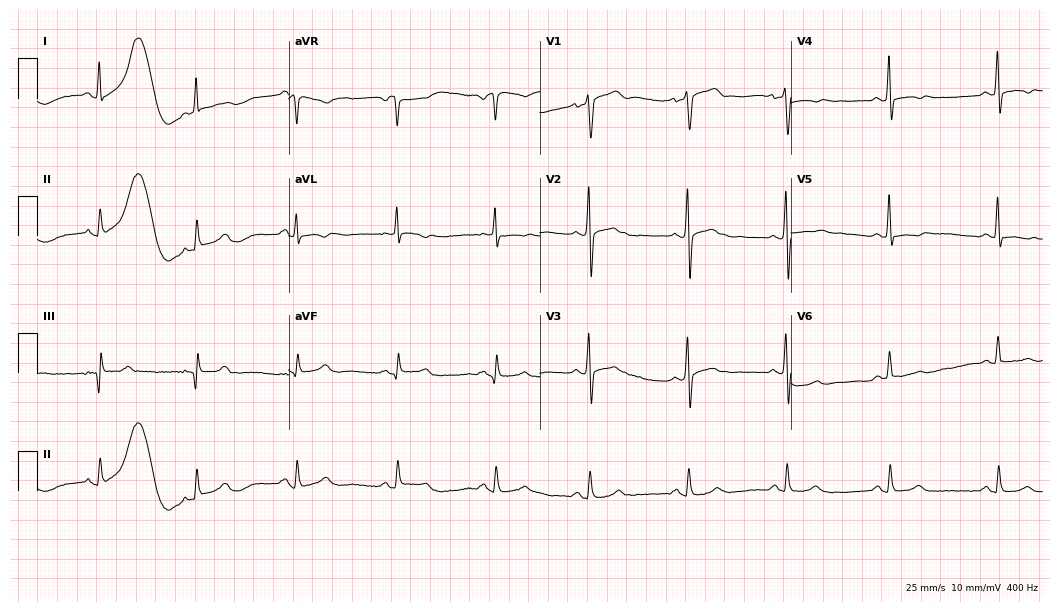
Standard 12-lead ECG recorded from a male patient, 46 years old. None of these six findings is recorded: first-degree AV block, right bundle branch block (RBBB), left bundle branch block (LBBB), sinus bradycardia, atrial fibrillation (AF), sinus tachycardia. Only these six findings were labelled.